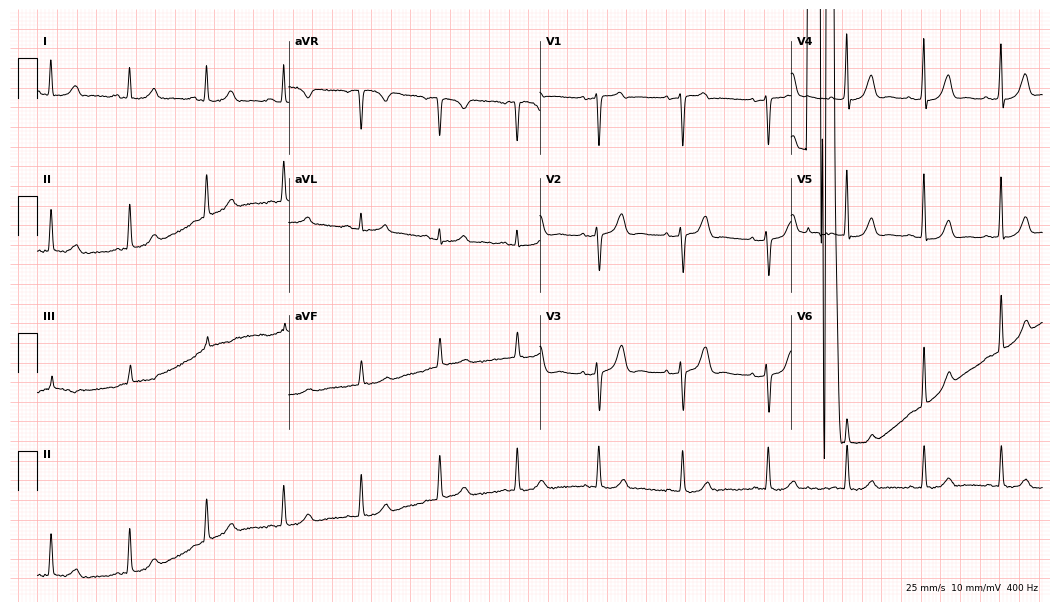
12-lead ECG from a 44-year-old female patient. No first-degree AV block, right bundle branch block, left bundle branch block, sinus bradycardia, atrial fibrillation or sinus tachycardia recorded for this tracing. Only these six findings were labelled.